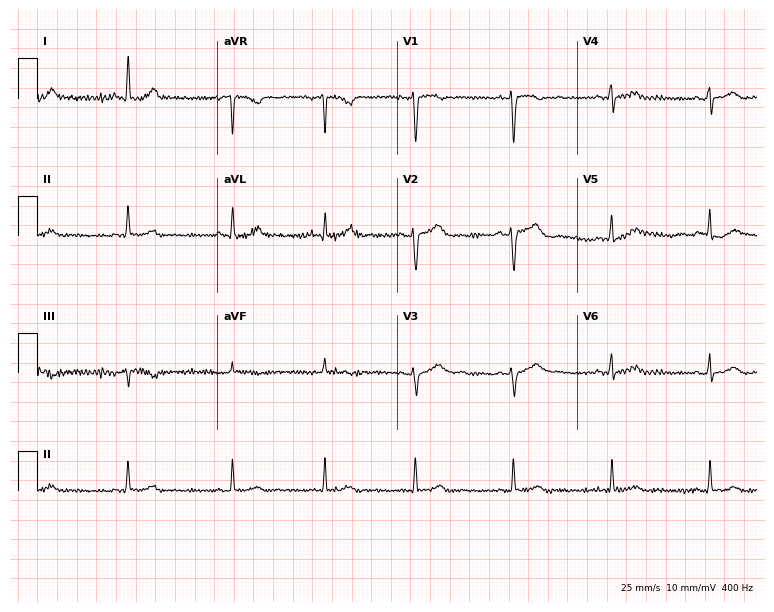
Resting 12-lead electrocardiogram (7.3-second recording at 400 Hz). Patient: a female, 23 years old. Read as a normal ECG.